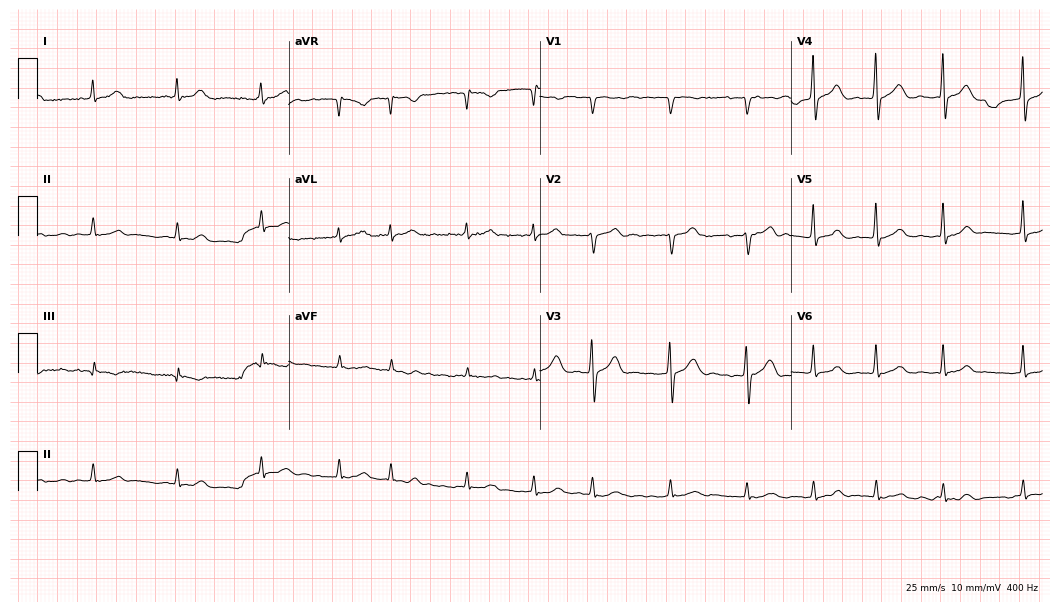
ECG (10.2-second recording at 400 Hz) — a 68-year-old male patient. Findings include atrial fibrillation.